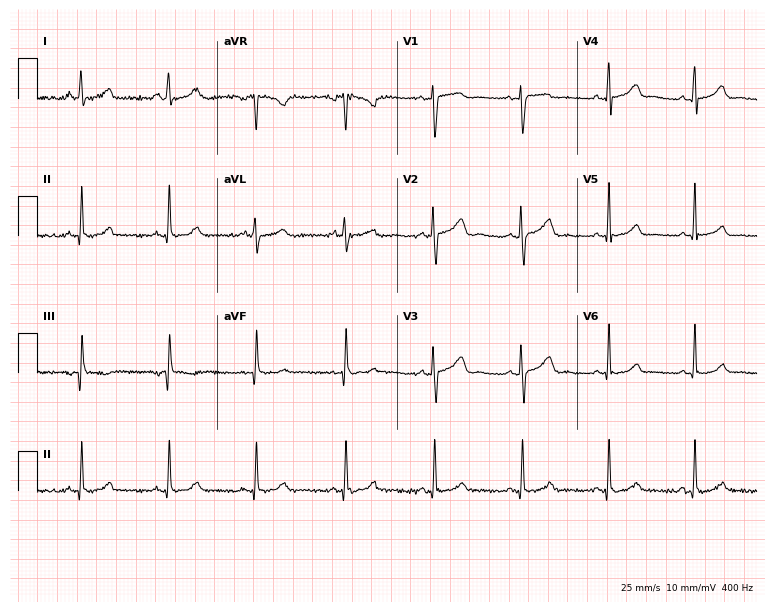
12-lead ECG from a male, 28 years old (7.3-second recording at 400 Hz). Recorded interpretation: within normal limits.